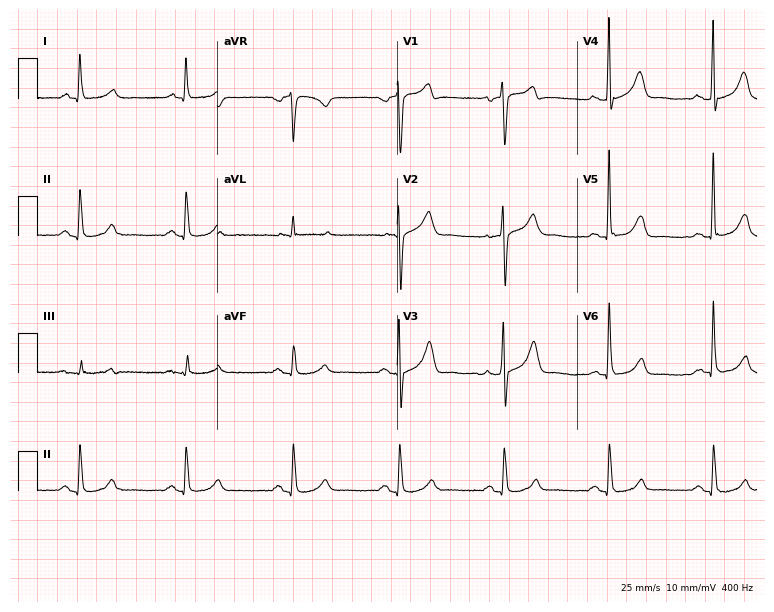
Electrocardiogram, a male patient, 68 years old. Overall reading on record: normal ECG.